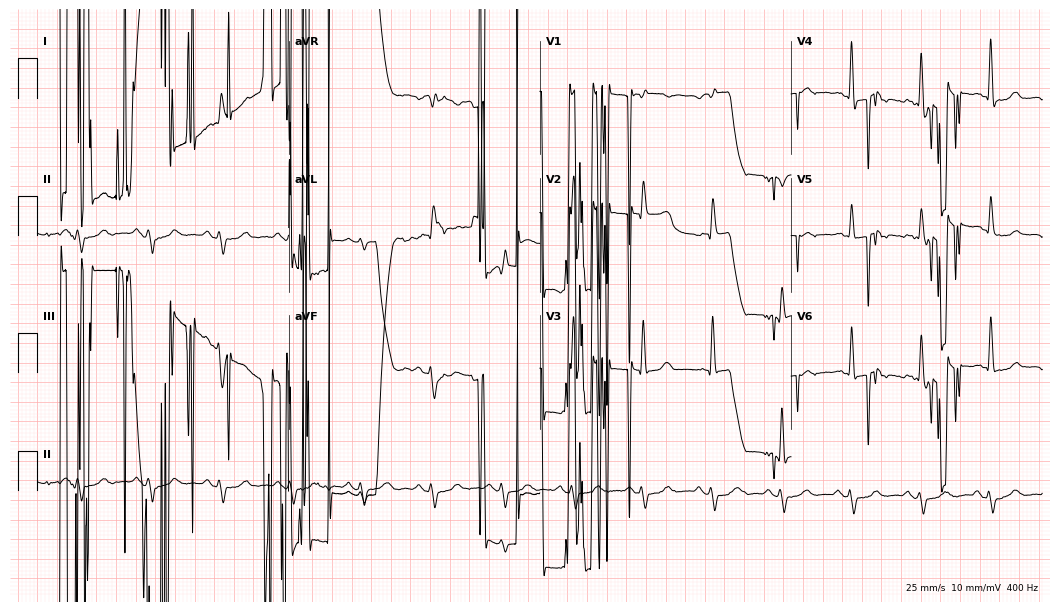
Standard 12-lead ECG recorded from a man, 85 years old (10.2-second recording at 400 Hz). None of these six findings is recorded: first-degree AV block, right bundle branch block (RBBB), left bundle branch block (LBBB), sinus bradycardia, atrial fibrillation (AF), sinus tachycardia.